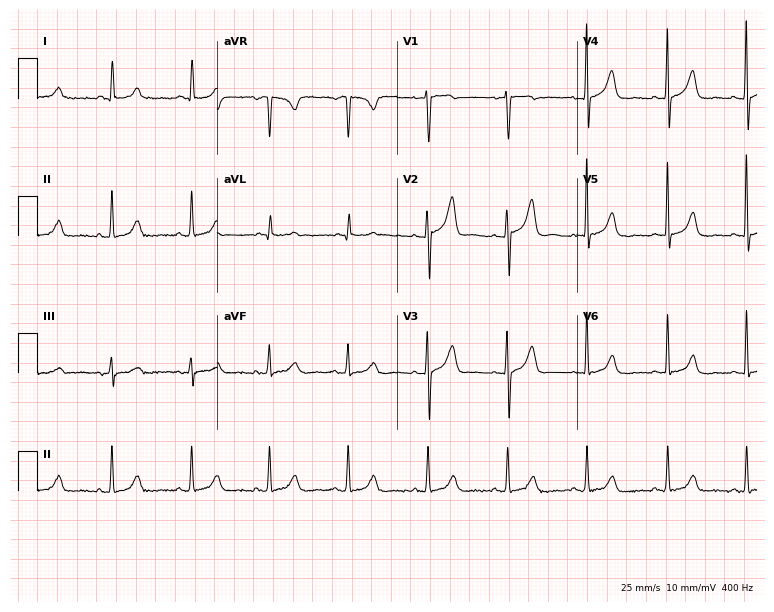
12-lead ECG (7.3-second recording at 400 Hz) from a 73-year-old woman. Labelled as a normal ECG.